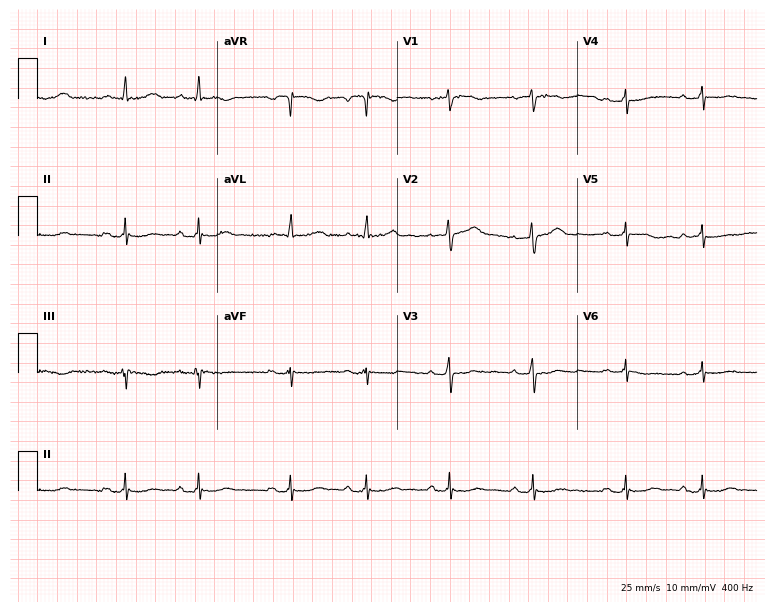
ECG — a 66-year-old woman. Screened for six findings — first-degree AV block, right bundle branch block, left bundle branch block, sinus bradycardia, atrial fibrillation, sinus tachycardia — none is recorded.